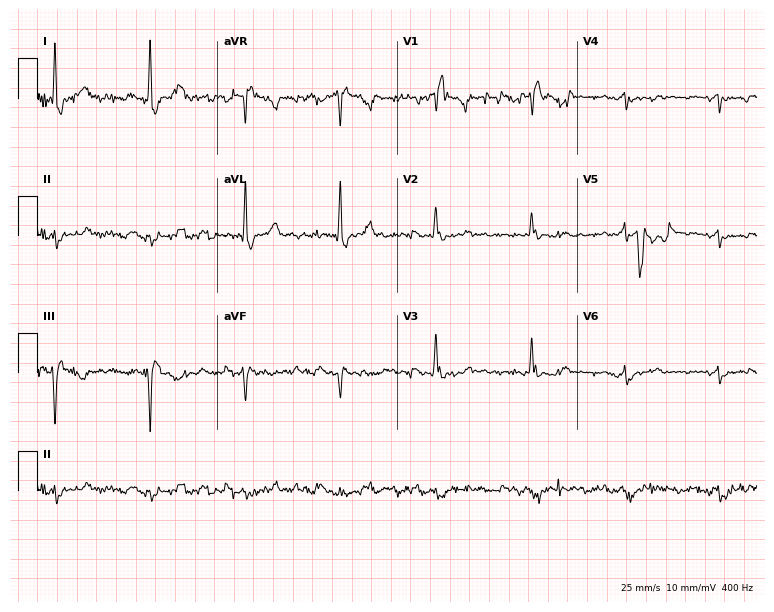
12-lead ECG (7.3-second recording at 400 Hz) from a woman, 63 years old. Screened for six findings — first-degree AV block, right bundle branch block, left bundle branch block, sinus bradycardia, atrial fibrillation, sinus tachycardia — none is recorded. Other findings, if any, are not listed.